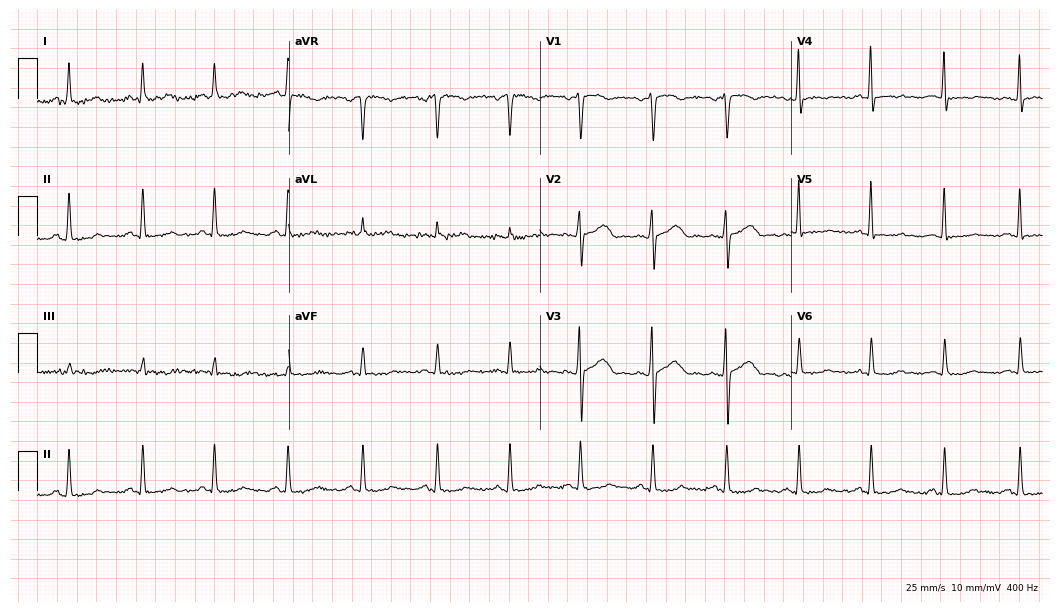
Resting 12-lead electrocardiogram (10.2-second recording at 400 Hz). Patient: a 37-year-old woman. None of these six findings is recorded: first-degree AV block, right bundle branch block, left bundle branch block, sinus bradycardia, atrial fibrillation, sinus tachycardia.